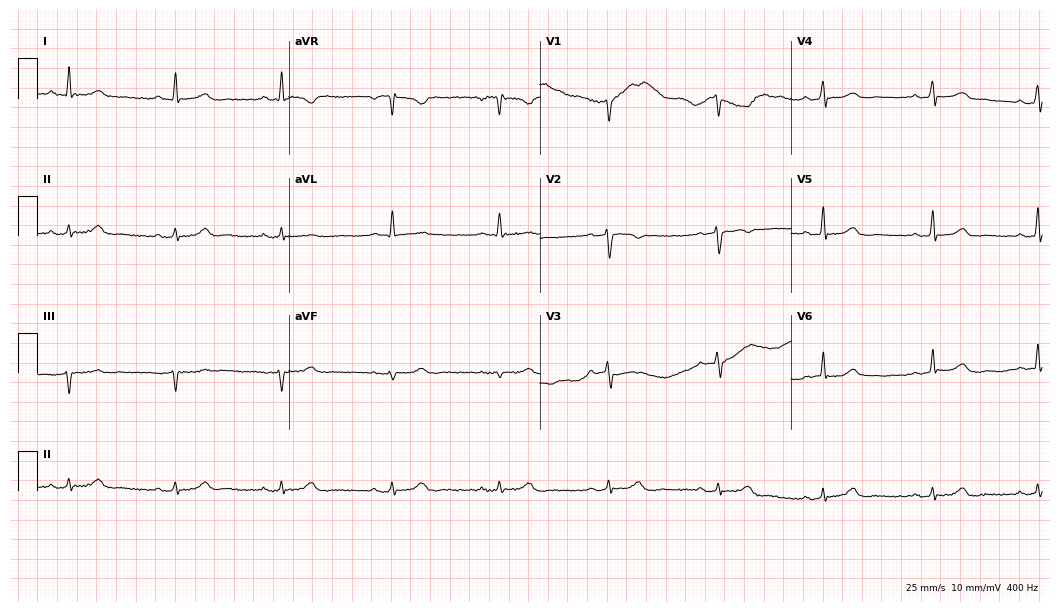
12-lead ECG from a 61-year-old female patient (10.2-second recording at 400 Hz). No first-degree AV block, right bundle branch block, left bundle branch block, sinus bradycardia, atrial fibrillation or sinus tachycardia recorded for this tracing.